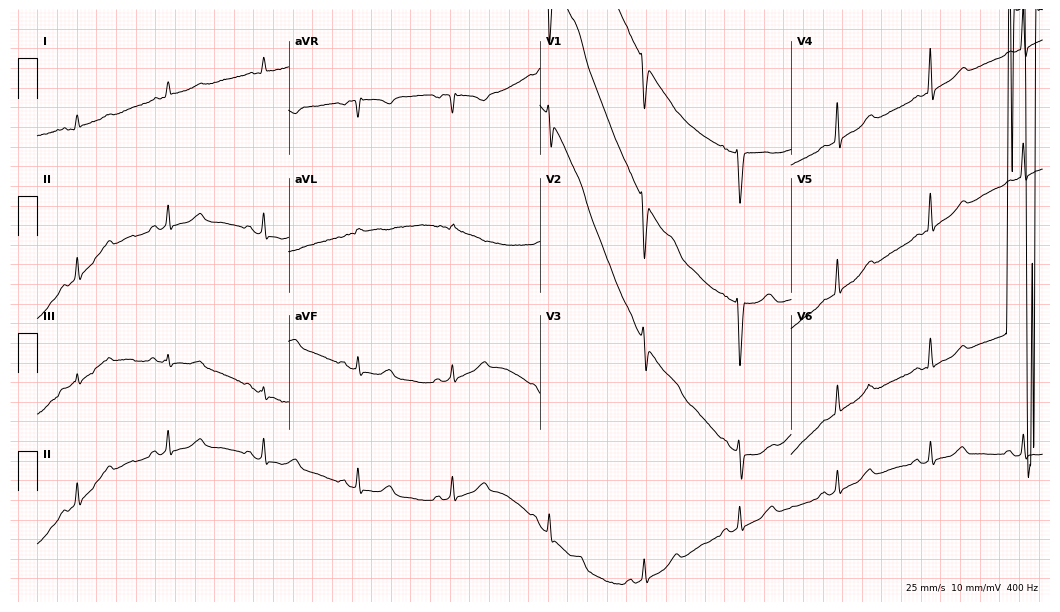
ECG — a 50-year-old female patient. Screened for six findings — first-degree AV block, right bundle branch block (RBBB), left bundle branch block (LBBB), sinus bradycardia, atrial fibrillation (AF), sinus tachycardia — none is recorded. Only these six findings were labelled.